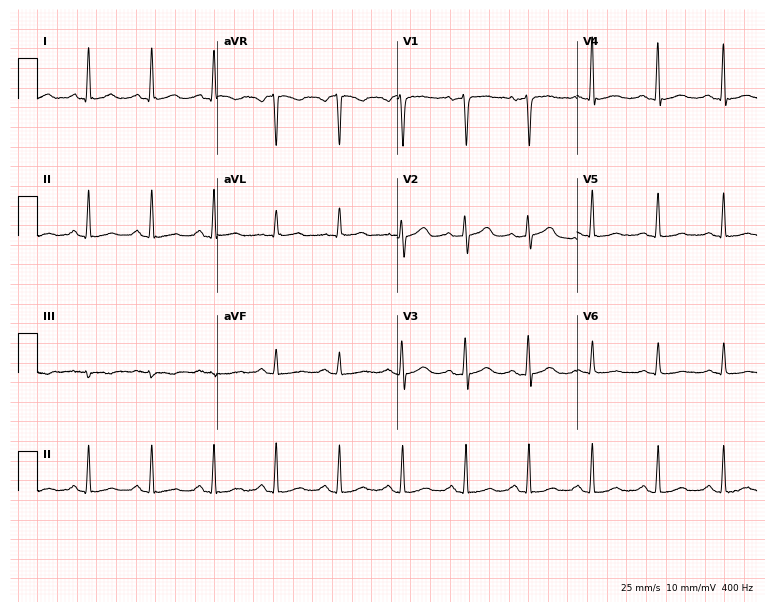
Resting 12-lead electrocardiogram (7.3-second recording at 400 Hz). Patient: a woman, 47 years old. None of these six findings is recorded: first-degree AV block, right bundle branch block, left bundle branch block, sinus bradycardia, atrial fibrillation, sinus tachycardia.